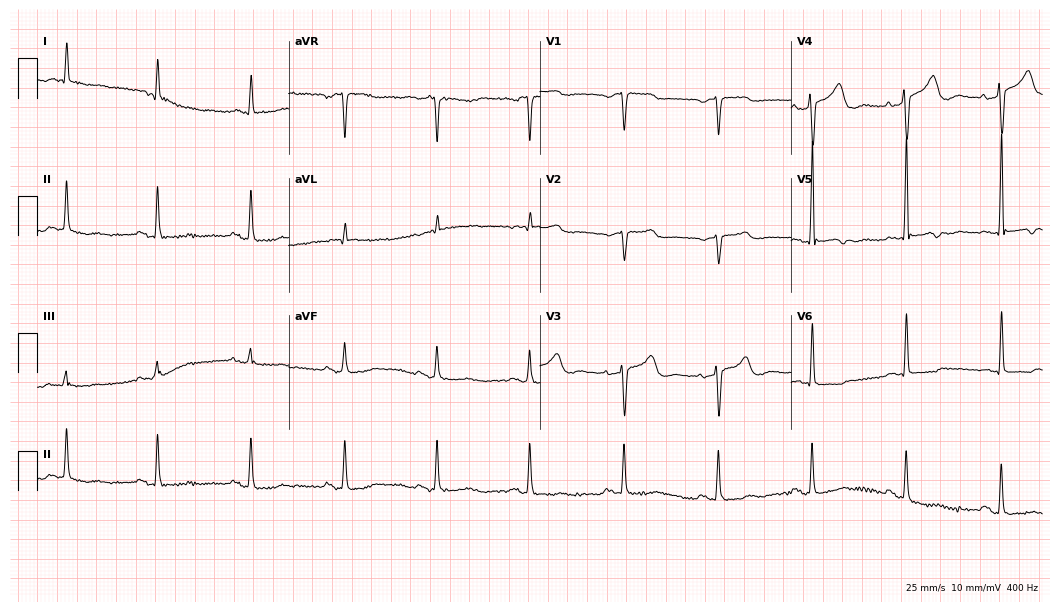
12-lead ECG (10.2-second recording at 400 Hz) from a woman, 78 years old. Screened for six findings — first-degree AV block, right bundle branch block, left bundle branch block, sinus bradycardia, atrial fibrillation, sinus tachycardia — none is recorded. Other findings, if any, are not listed.